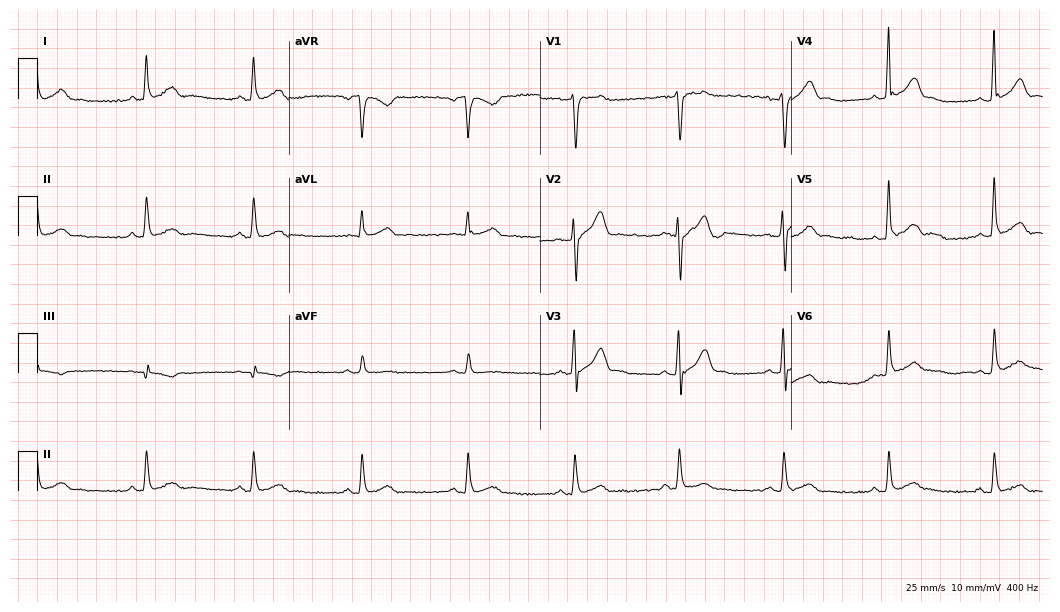
Electrocardiogram, a 48-year-old man. Of the six screened findings (first-degree AV block, right bundle branch block (RBBB), left bundle branch block (LBBB), sinus bradycardia, atrial fibrillation (AF), sinus tachycardia), none is recorded. Findings outside these six are not listed.